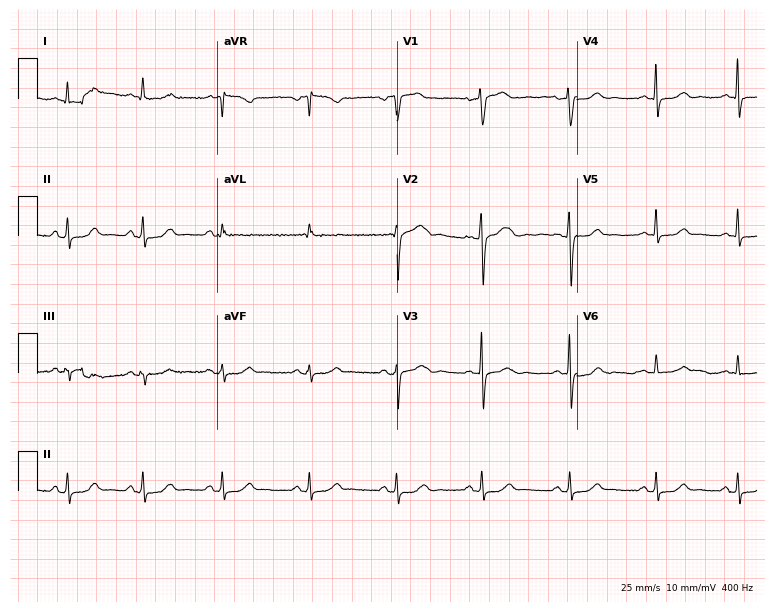
Resting 12-lead electrocardiogram. Patient: a woman, 43 years old. Read as a normal ECG.